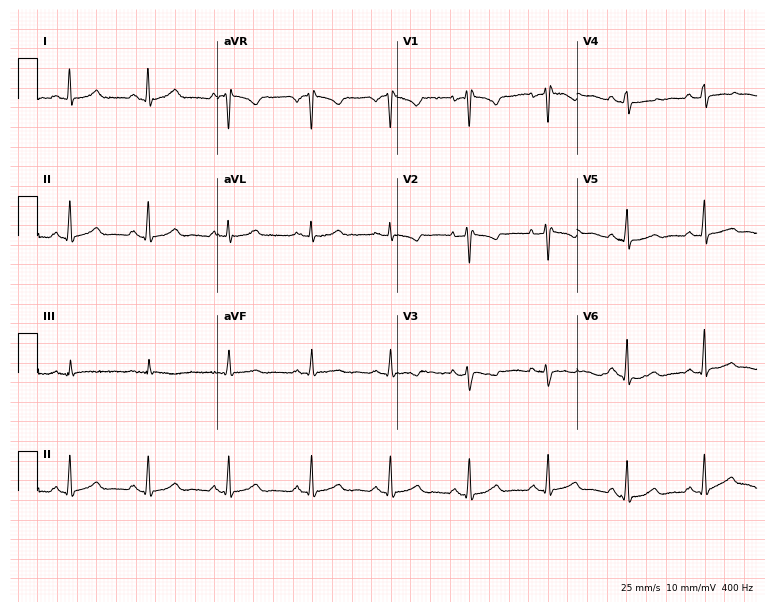
12-lead ECG from a female patient, 38 years old. Labelled as a normal ECG.